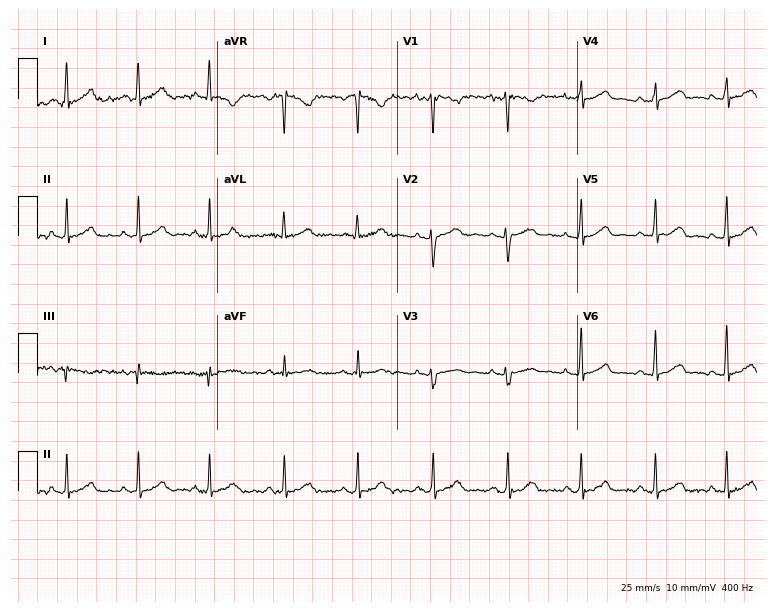
ECG — a 44-year-old female. Labelled as a normal ECG.